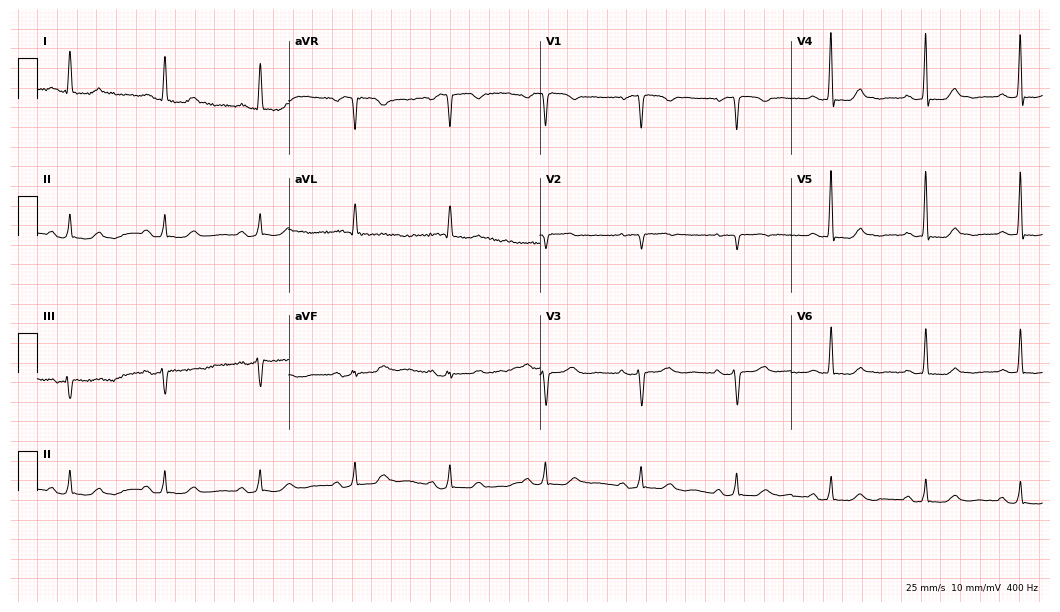
Standard 12-lead ECG recorded from a female, 65 years old. None of these six findings is recorded: first-degree AV block, right bundle branch block (RBBB), left bundle branch block (LBBB), sinus bradycardia, atrial fibrillation (AF), sinus tachycardia. Only these six findings were labelled.